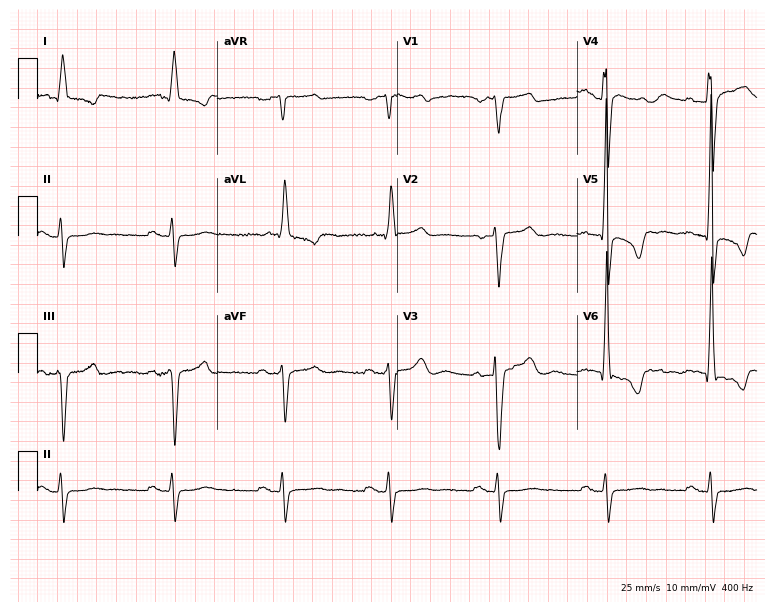
ECG (7.3-second recording at 400 Hz) — a male, 46 years old. Screened for six findings — first-degree AV block, right bundle branch block (RBBB), left bundle branch block (LBBB), sinus bradycardia, atrial fibrillation (AF), sinus tachycardia — none is recorded. Findings outside these six are not listed.